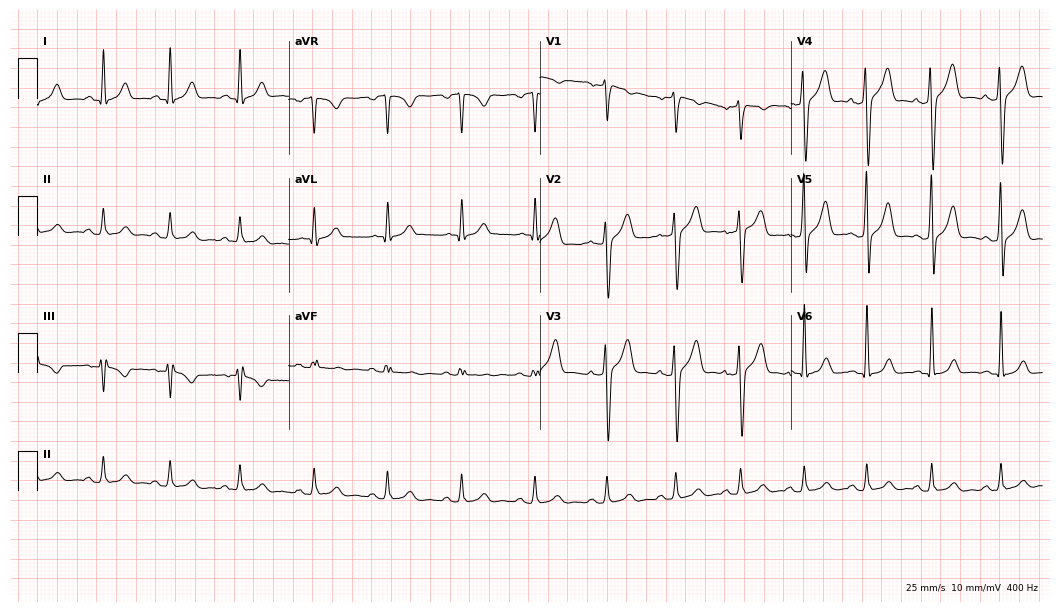
12-lead ECG from a 49-year-old man. Labelled as a normal ECG.